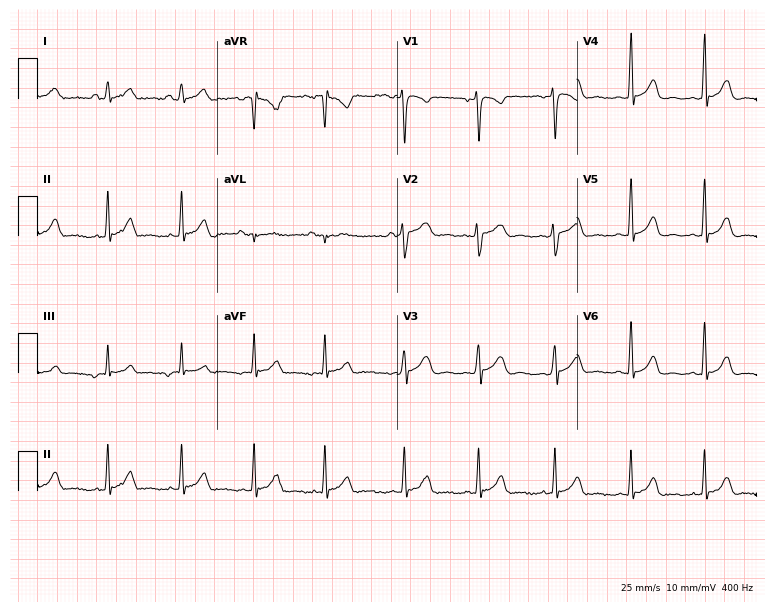
Standard 12-lead ECG recorded from a woman, 22 years old. None of these six findings is recorded: first-degree AV block, right bundle branch block (RBBB), left bundle branch block (LBBB), sinus bradycardia, atrial fibrillation (AF), sinus tachycardia. Only these six findings were labelled.